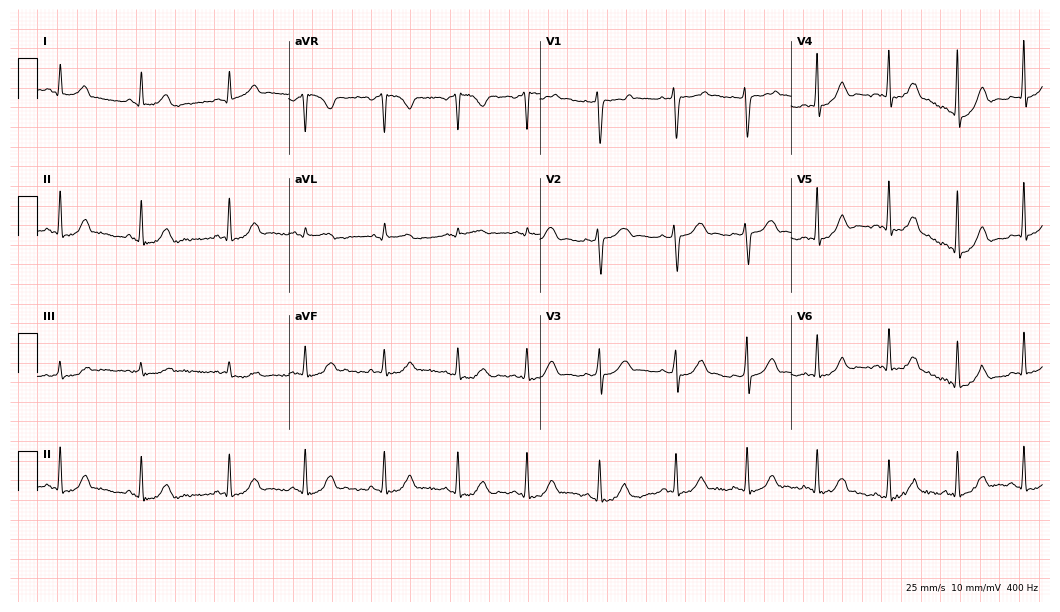
Electrocardiogram, a 19-year-old female. Overall reading on record: normal ECG.